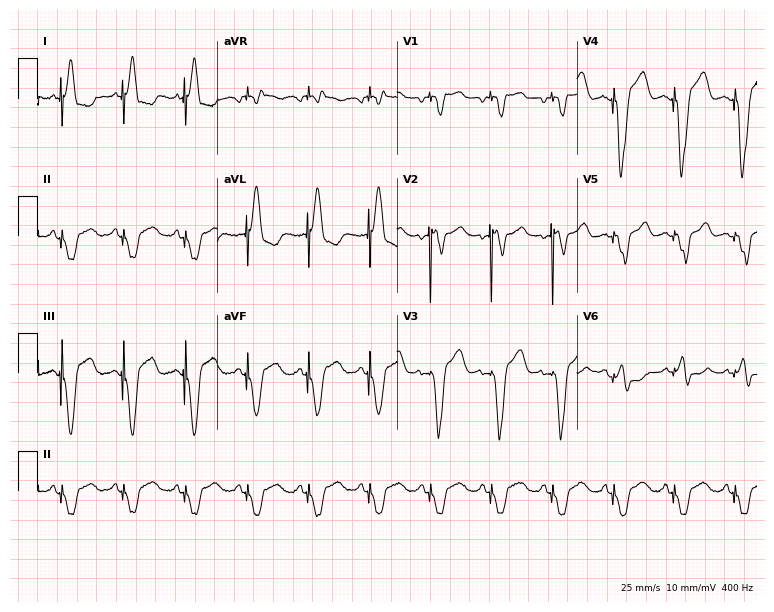
12-lead ECG from a female patient, 61 years old. Screened for six findings — first-degree AV block, right bundle branch block, left bundle branch block, sinus bradycardia, atrial fibrillation, sinus tachycardia — none is recorded.